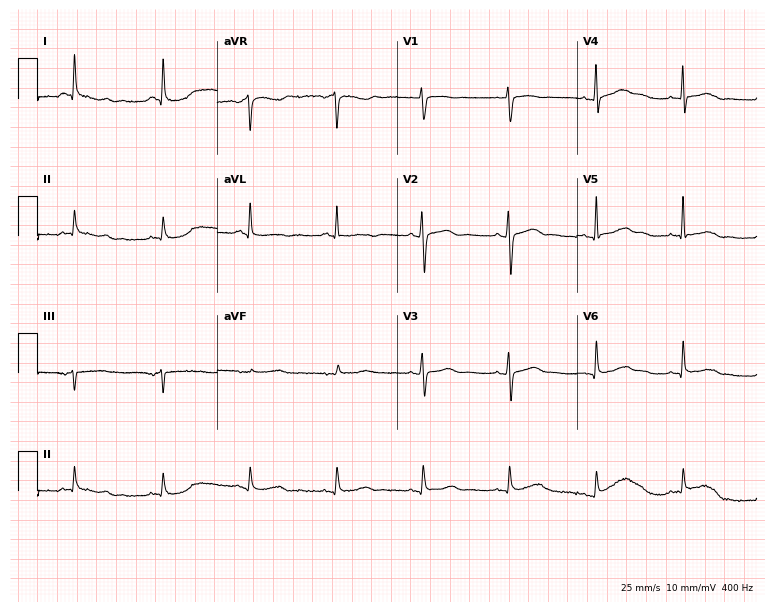
Electrocardiogram (7.3-second recording at 400 Hz), a man, 76 years old. Overall reading on record: normal ECG.